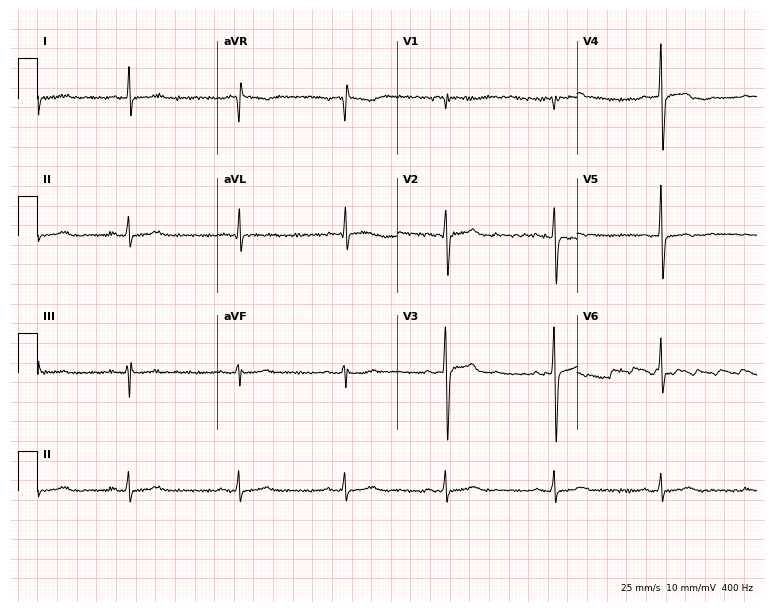
Resting 12-lead electrocardiogram (7.3-second recording at 400 Hz). Patient: a male, 50 years old. None of these six findings is recorded: first-degree AV block, right bundle branch block, left bundle branch block, sinus bradycardia, atrial fibrillation, sinus tachycardia. Other findings, if any, are not listed.